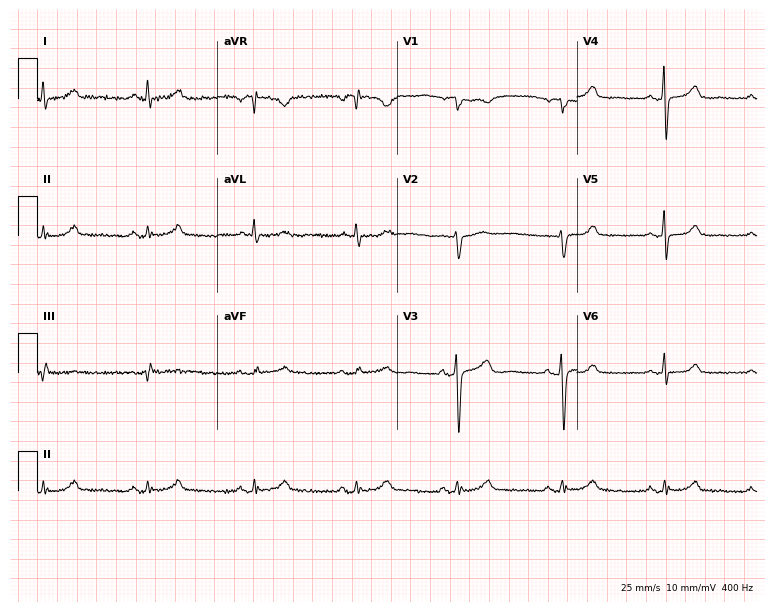
12-lead ECG from a 64-year-old woman. Screened for six findings — first-degree AV block, right bundle branch block (RBBB), left bundle branch block (LBBB), sinus bradycardia, atrial fibrillation (AF), sinus tachycardia — none is recorded.